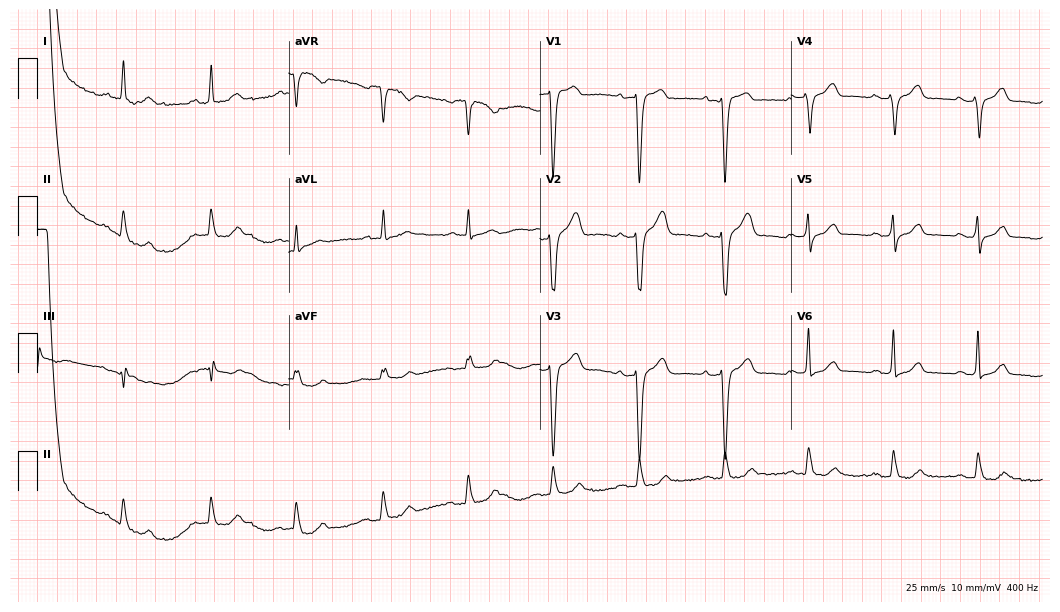
Resting 12-lead electrocardiogram (10.2-second recording at 400 Hz). Patient: a 52-year-old male. None of these six findings is recorded: first-degree AV block, right bundle branch block, left bundle branch block, sinus bradycardia, atrial fibrillation, sinus tachycardia. Other findings, if any, are not listed.